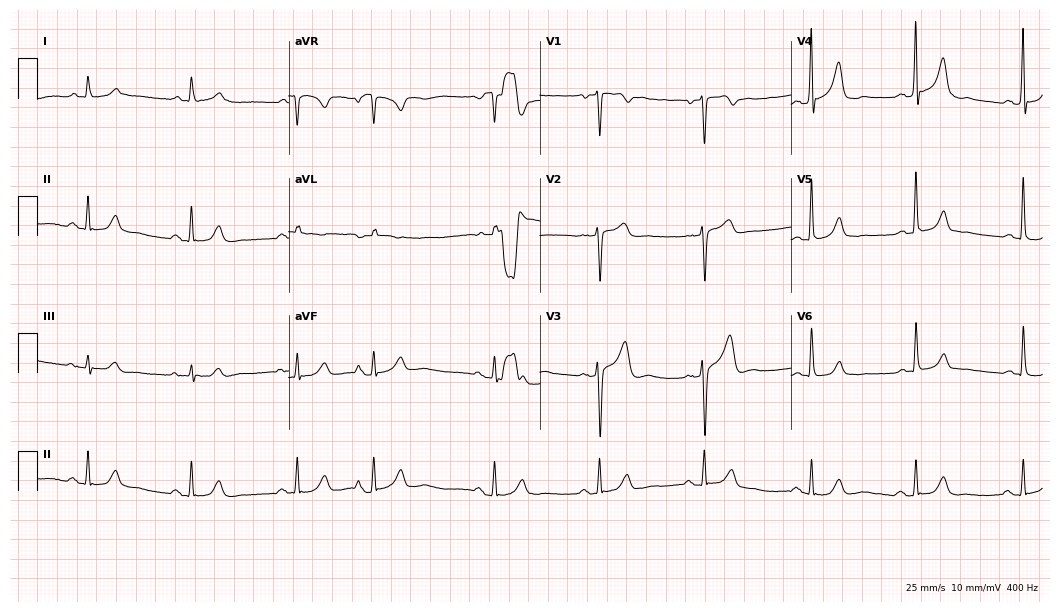
12-lead ECG from a 74-year-old male. No first-degree AV block, right bundle branch block, left bundle branch block, sinus bradycardia, atrial fibrillation or sinus tachycardia recorded for this tracing.